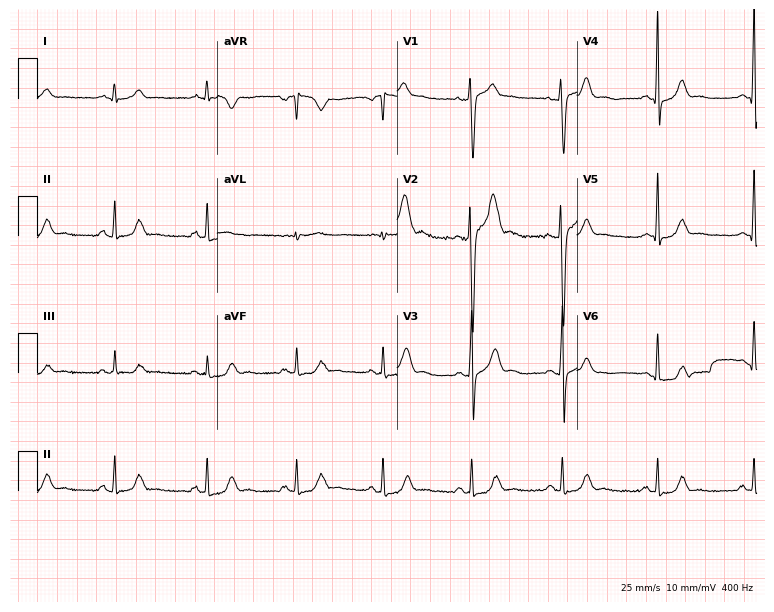
Resting 12-lead electrocardiogram (7.3-second recording at 400 Hz). Patient: a 34-year-old male. Read as a normal ECG.